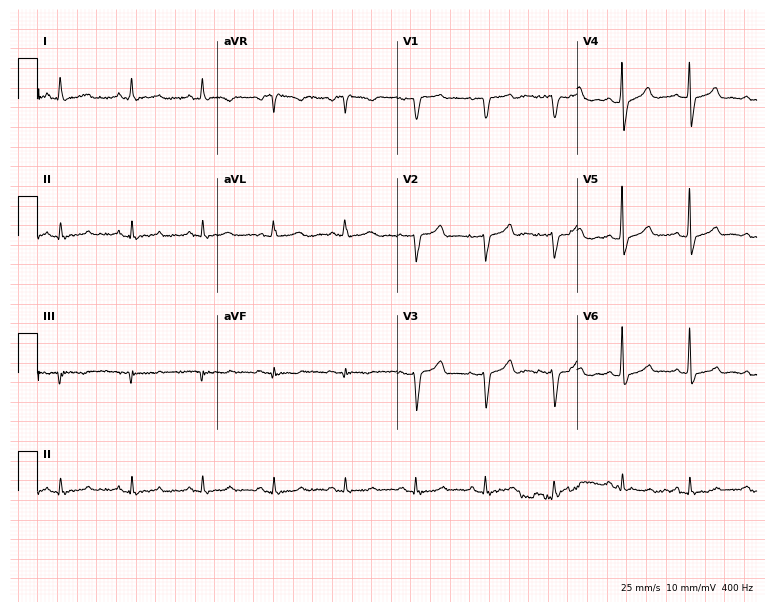
ECG (7.3-second recording at 400 Hz) — a 78-year-old woman. Screened for six findings — first-degree AV block, right bundle branch block, left bundle branch block, sinus bradycardia, atrial fibrillation, sinus tachycardia — none is recorded.